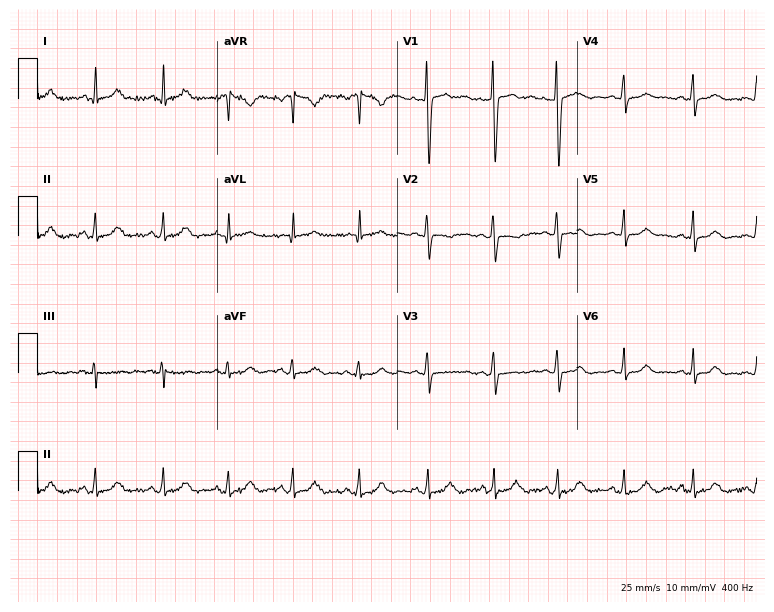
Resting 12-lead electrocardiogram (7.3-second recording at 400 Hz). Patient: a 21-year-old female. Read as a normal ECG.